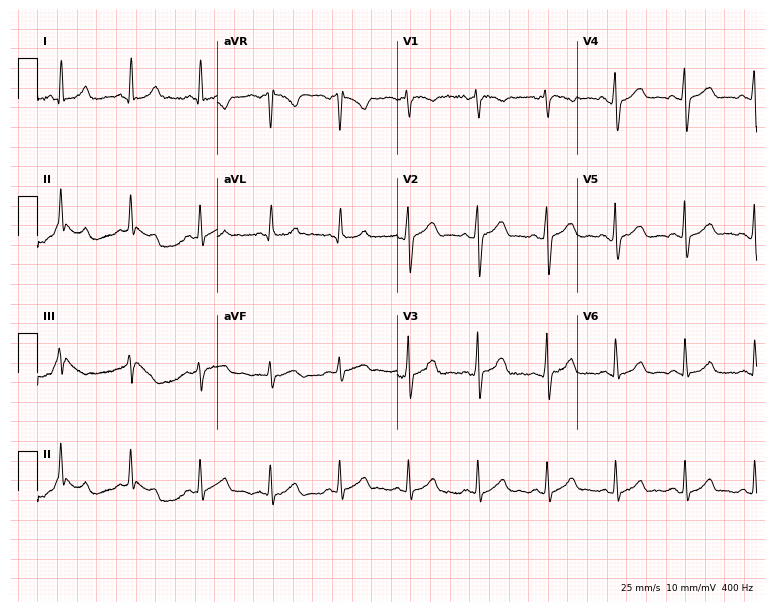
ECG (7.3-second recording at 400 Hz) — a 47-year-old man. Labelled as a normal ECG.